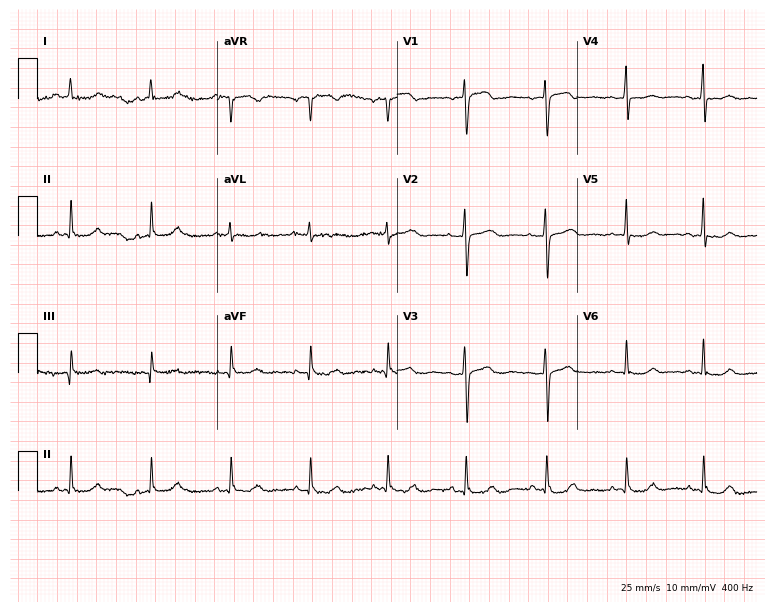
Electrocardiogram, a 61-year-old female patient. Overall reading on record: normal ECG.